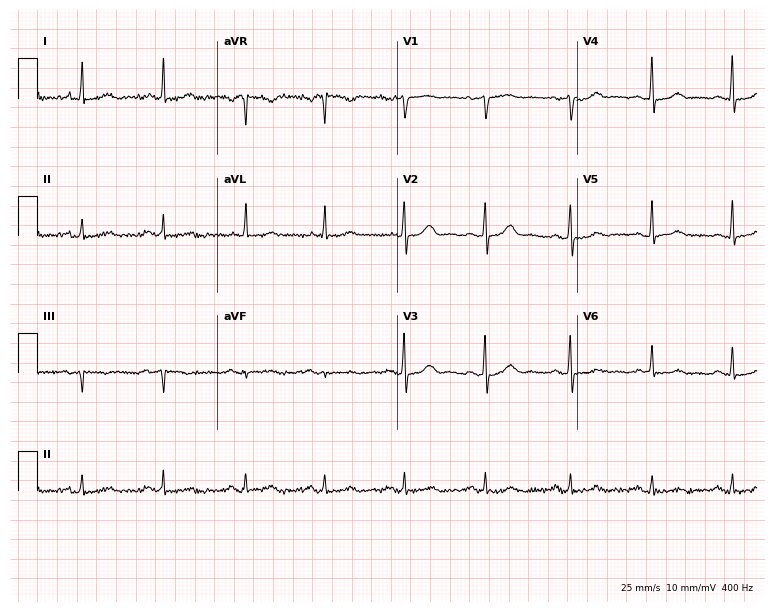
12-lead ECG from a 51-year-old female (7.3-second recording at 400 Hz). No first-degree AV block, right bundle branch block, left bundle branch block, sinus bradycardia, atrial fibrillation or sinus tachycardia recorded for this tracing.